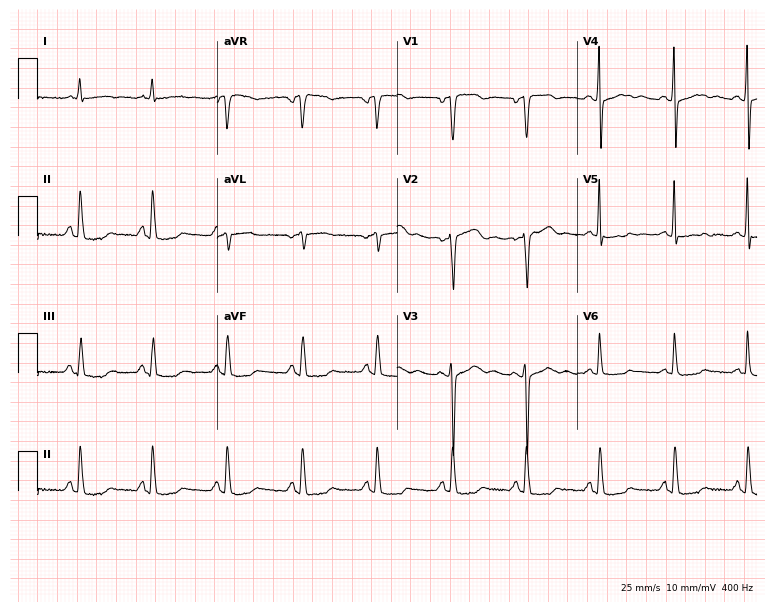
Standard 12-lead ECG recorded from a woman, 56 years old (7.3-second recording at 400 Hz). None of these six findings is recorded: first-degree AV block, right bundle branch block (RBBB), left bundle branch block (LBBB), sinus bradycardia, atrial fibrillation (AF), sinus tachycardia.